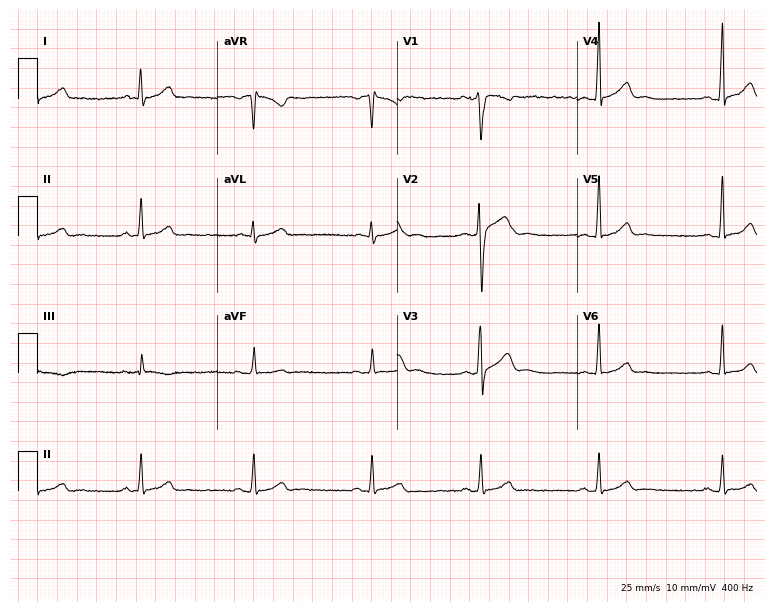
12-lead ECG (7.3-second recording at 400 Hz) from a 33-year-old male. Findings include sinus bradycardia (a sinus rate of 50 beats per minute or less).